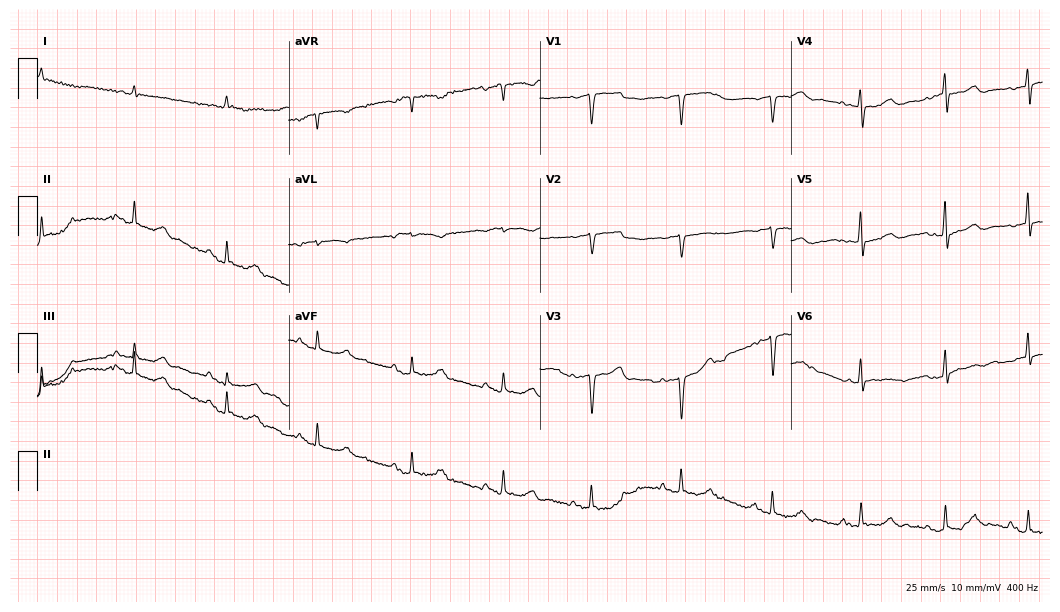
Resting 12-lead electrocardiogram (10.2-second recording at 400 Hz). Patient: a 77-year-old male. None of these six findings is recorded: first-degree AV block, right bundle branch block (RBBB), left bundle branch block (LBBB), sinus bradycardia, atrial fibrillation (AF), sinus tachycardia.